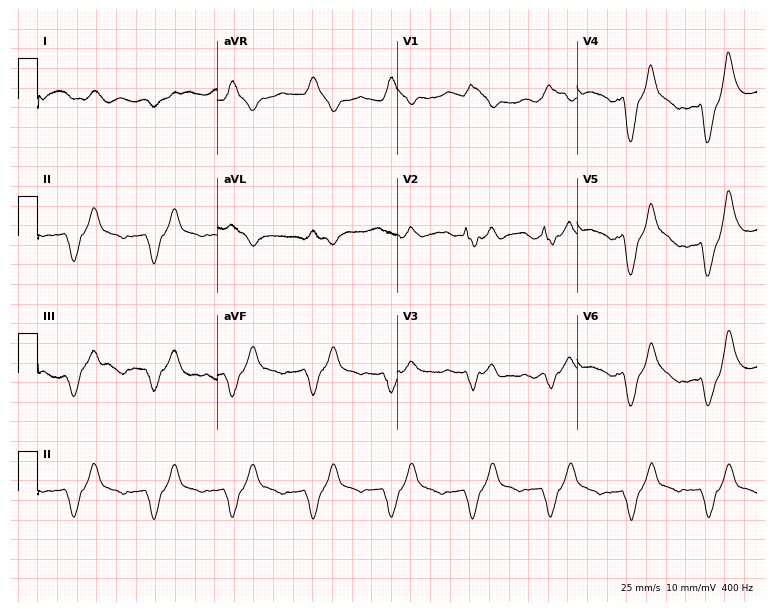
12-lead ECG from a 54-year-old woman. No first-degree AV block, right bundle branch block, left bundle branch block, sinus bradycardia, atrial fibrillation or sinus tachycardia recorded for this tracing. Only these six findings were labelled.